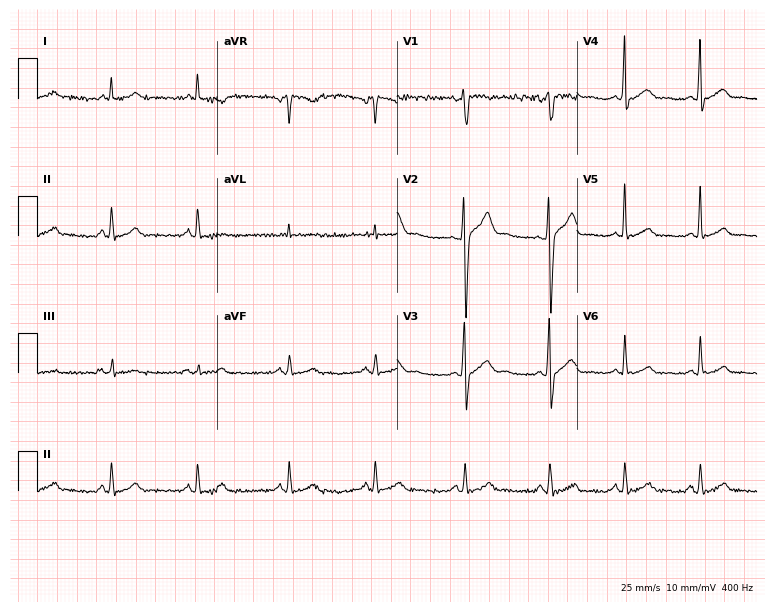
Electrocardiogram (7.3-second recording at 400 Hz), a male patient, 31 years old. Of the six screened findings (first-degree AV block, right bundle branch block, left bundle branch block, sinus bradycardia, atrial fibrillation, sinus tachycardia), none is recorded. Findings outside these six are not listed.